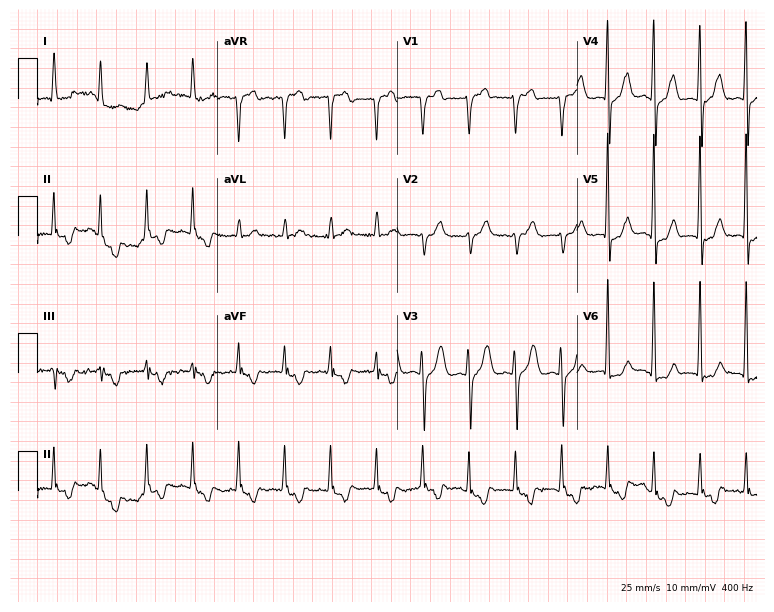
12-lead ECG from a man, 81 years old. No first-degree AV block, right bundle branch block, left bundle branch block, sinus bradycardia, atrial fibrillation or sinus tachycardia recorded for this tracing. Other findings, if any, are not listed.